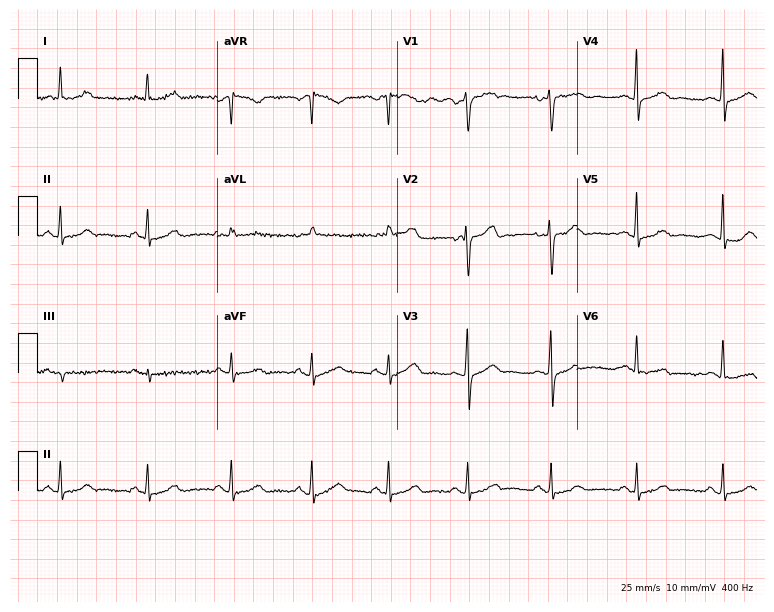
Electrocardiogram (7.3-second recording at 400 Hz), a 49-year-old female. Overall reading on record: normal ECG.